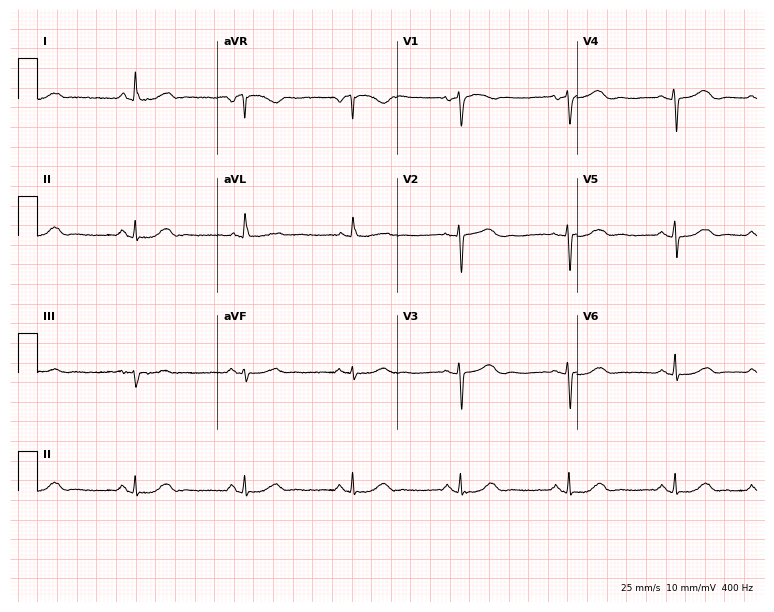
Standard 12-lead ECG recorded from a female patient, 69 years old (7.3-second recording at 400 Hz). Read as a normal ECG.